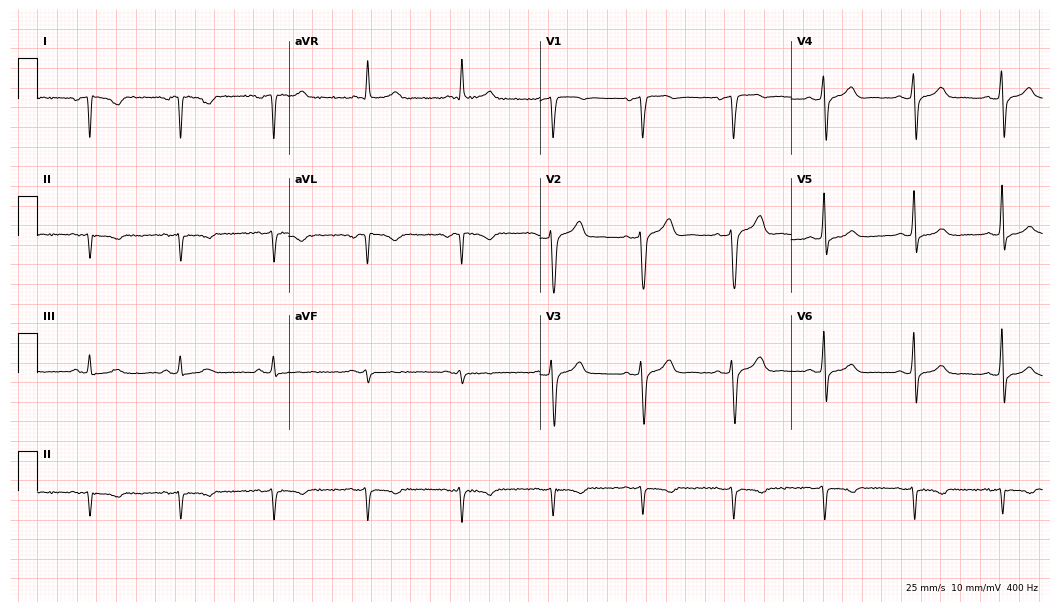
Electrocardiogram, a male patient, 55 years old. Of the six screened findings (first-degree AV block, right bundle branch block (RBBB), left bundle branch block (LBBB), sinus bradycardia, atrial fibrillation (AF), sinus tachycardia), none is recorded.